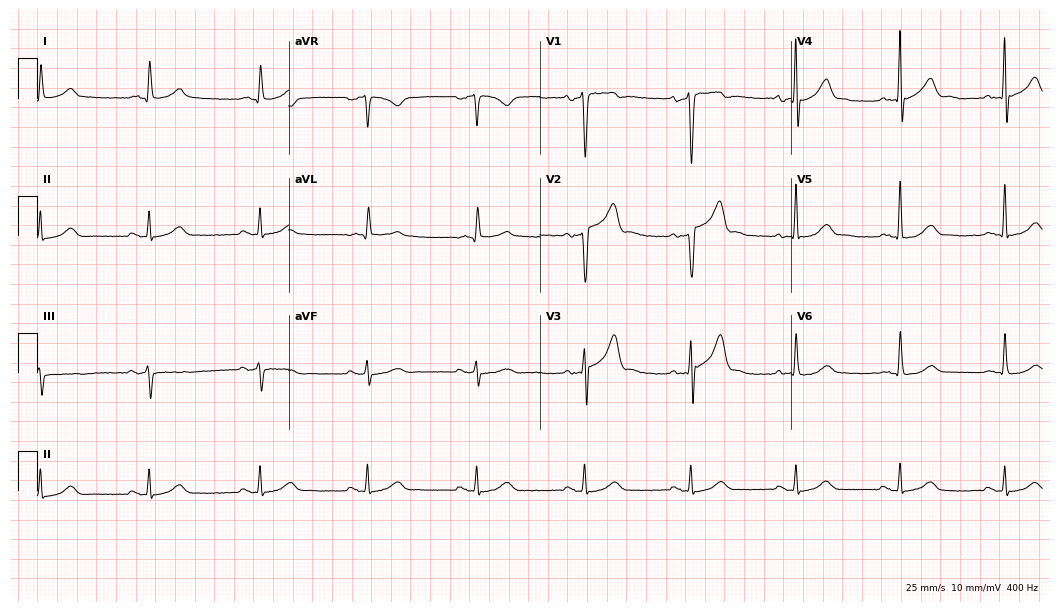
Resting 12-lead electrocardiogram. Patient: a male, 62 years old. Read as a normal ECG.